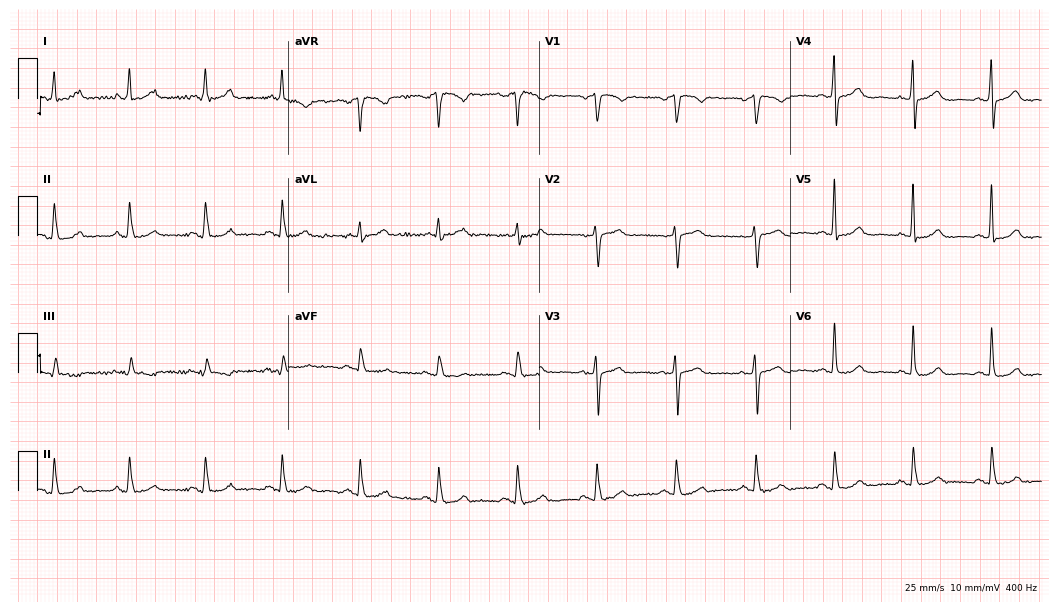
12-lead ECG (10.2-second recording at 400 Hz) from a 66-year-old woman. Screened for six findings — first-degree AV block, right bundle branch block, left bundle branch block, sinus bradycardia, atrial fibrillation, sinus tachycardia — none is recorded. Findings outside these six are not listed.